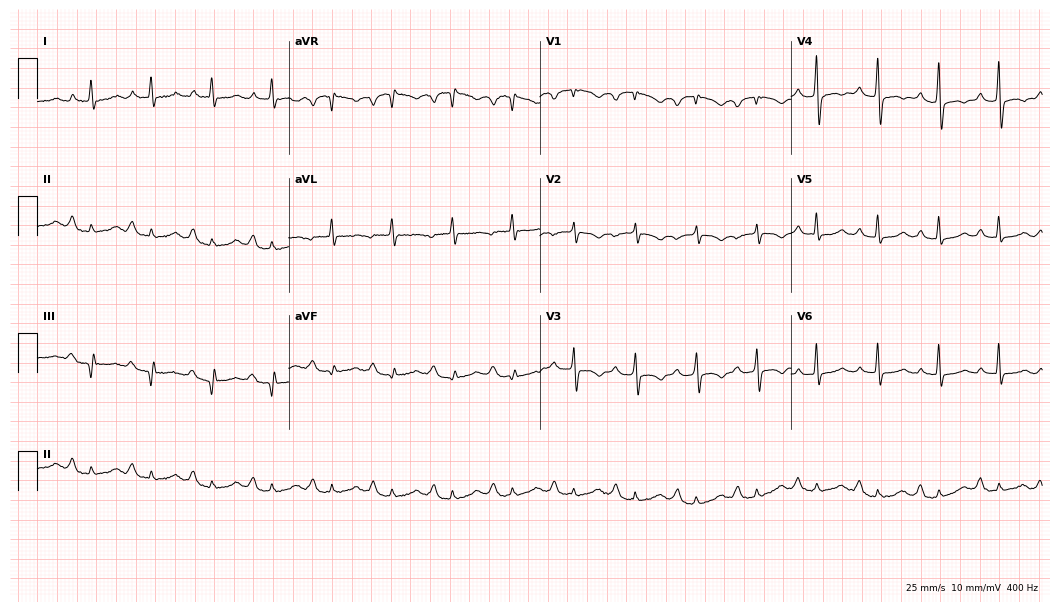
ECG — a 69-year-old female. Screened for six findings — first-degree AV block, right bundle branch block, left bundle branch block, sinus bradycardia, atrial fibrillation, sinus tachycardia — none is recorded.